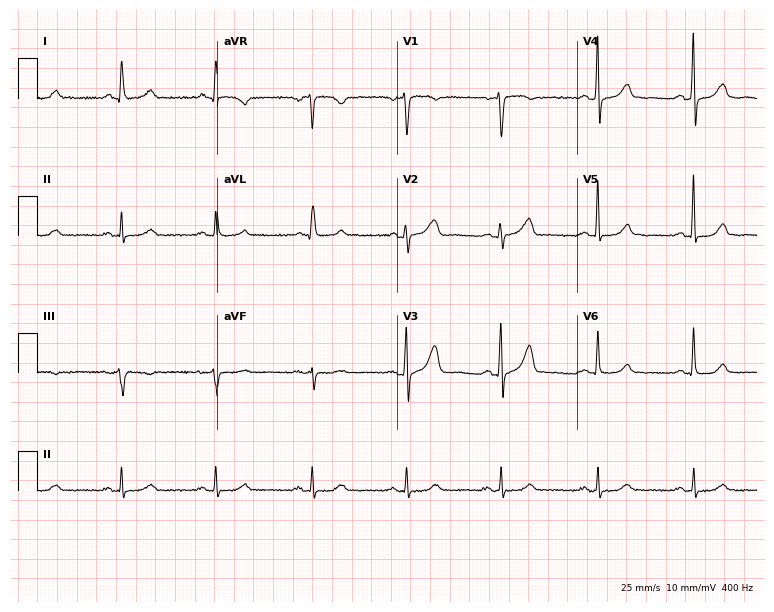
ECG (7.3-second recording at 400 Hz) — a 62-year-old female patient. Labelled as a normal ECG.